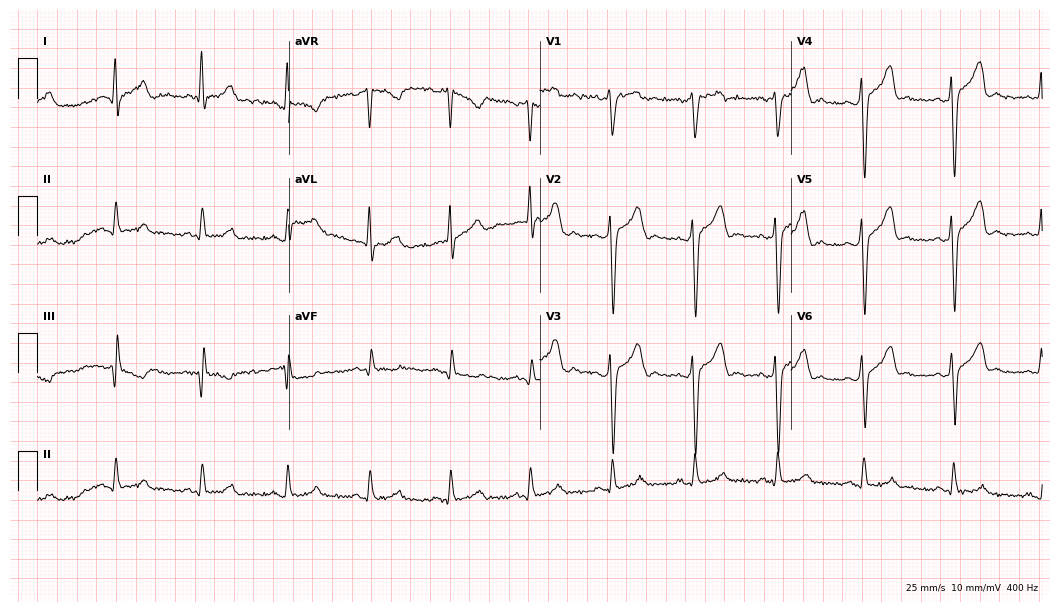
12-lead ECG (10.2-second recording at 400 Hz) from a 31-year-old man. Screened for six findings — first-degree AV block, right bundle branch block, left bundle branch block, sinus bradycardia, atrial fibrillation, sinus tachycardia — none is recorded.